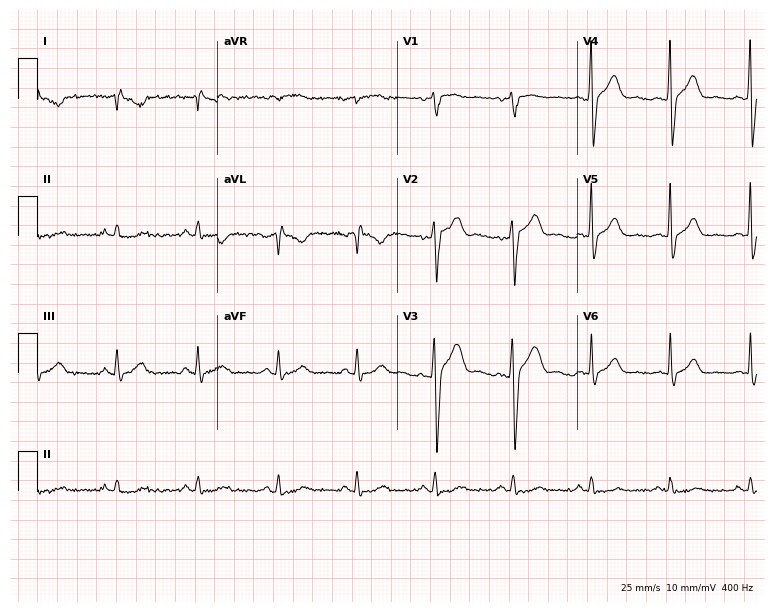
Electrocardiogram, a 41-year-old male. Overall reading on record: normal ECG.